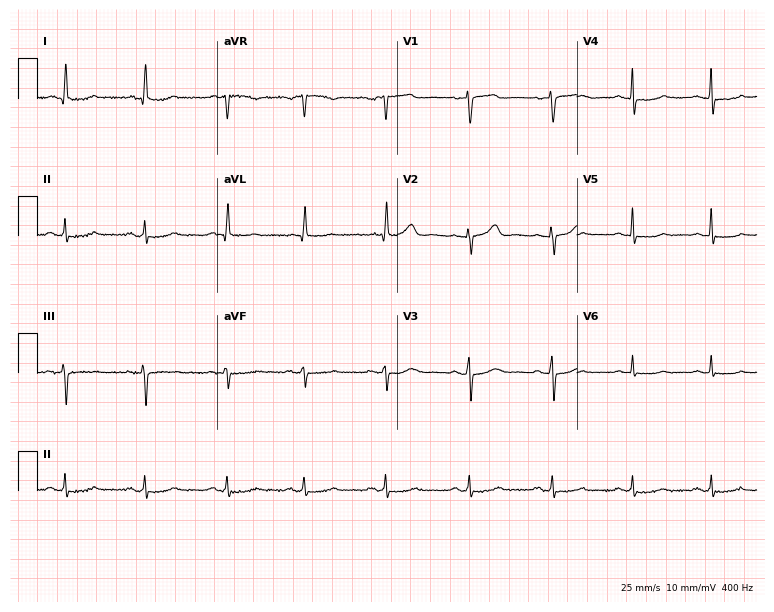
ECG (7.3-second recording at 400 Hz) — a 54-year-old female. Screened for six findings — first-degree AV block, right bundle branch block, left bundle branch block, sinus bradycardia, atrial fibrillation, sinus tachycardia — none is recorded. Findings outside these six are not listed.